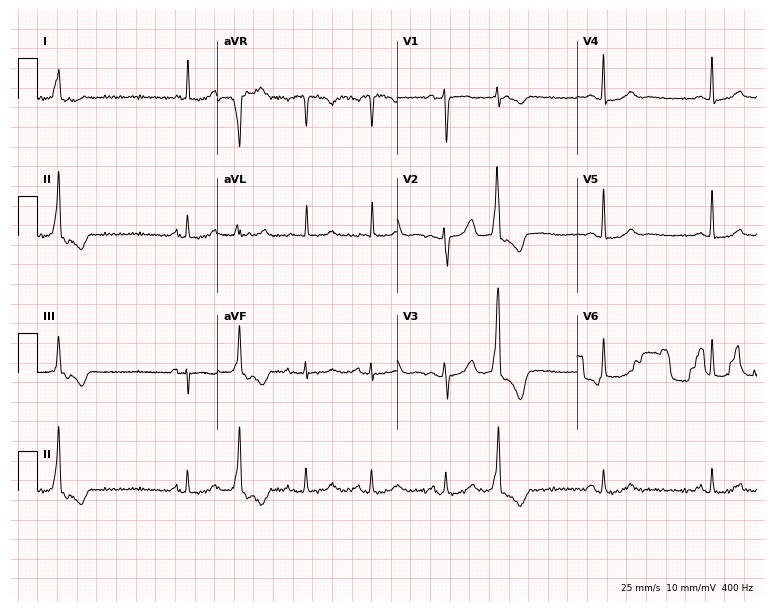
ECG (7.3-second recording at 400 Hz) — a female patient, 86 years old. Screened for six findings — first-degree AV block, right bundle branch block (RBBB), left bundle branch block (LBBB), sinus bradycardia, atrial fibrillation (AF), sinus tachycardia — none is recorded.